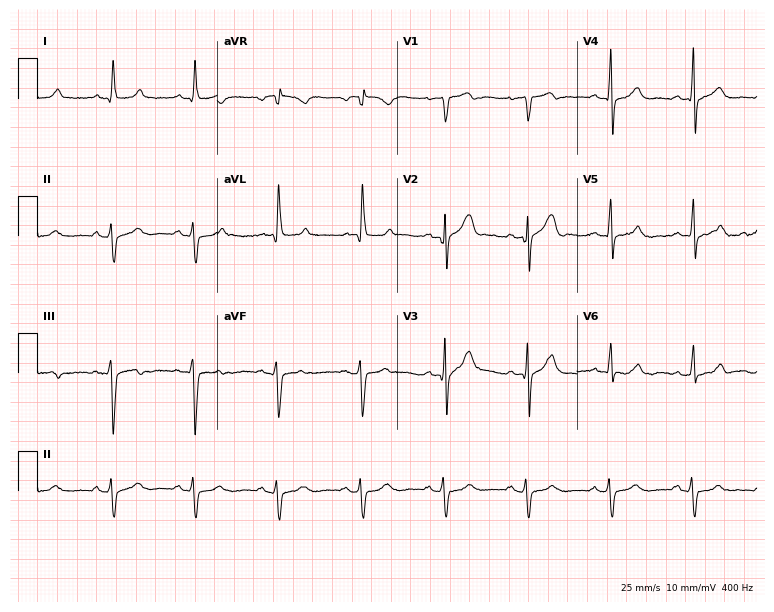
12-lead ECG from a 68-year-old male. Screened for six findings — first-degree AV block, right bundle branch block, left bundle branch block, sinus bradycardia, atrial fibrillation, sinus tachycardia — none is recorded.